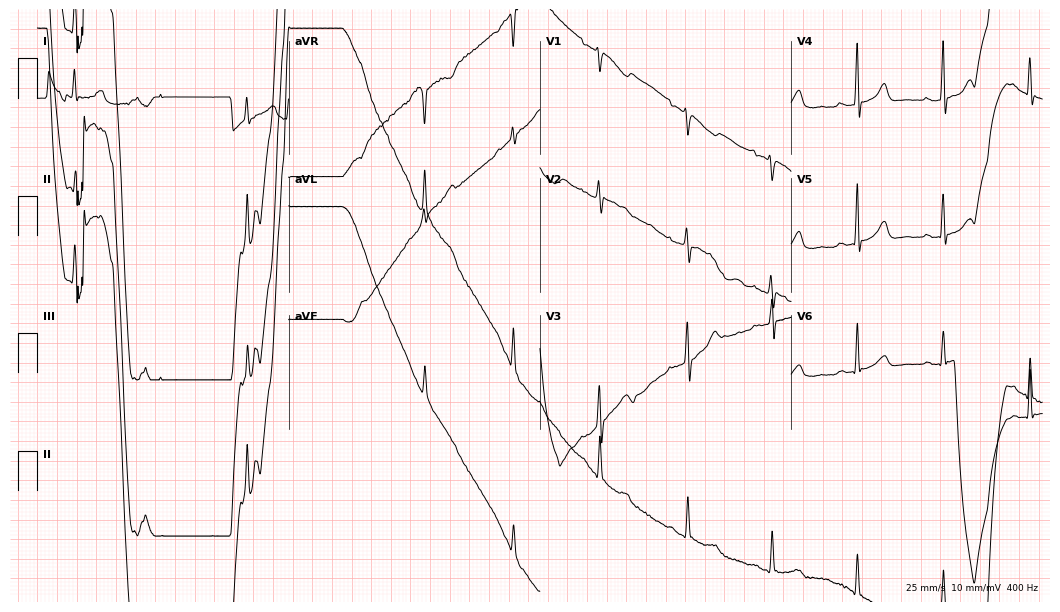
ECG (10.2-second recording at 400 Hz) — a woman, 76 years old. Screened for six findings — first-degree AV block, right bundle branch block, left bundle branch block, sinus bradycardia, atrial fibrillation, sinus tachycardia — none is recorded.